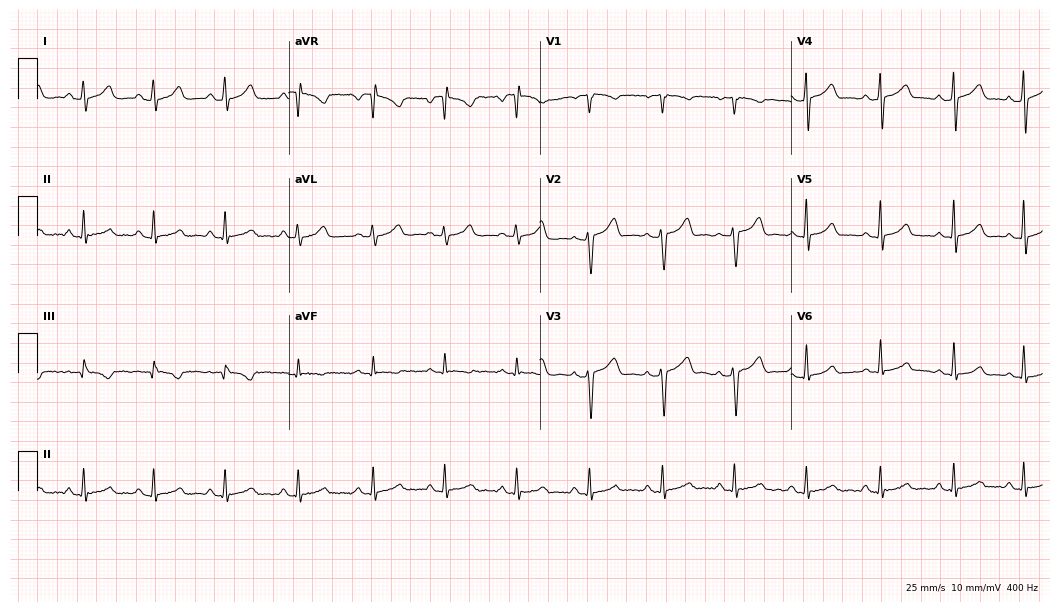
Standard 12-lead ECG recorded from a 29-year-old female. Read as a normal ECG.